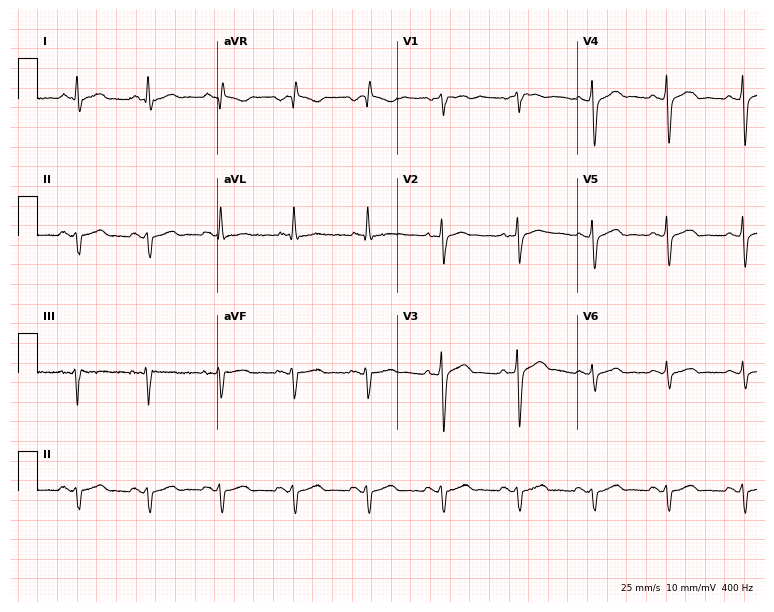
Resting 12-lead electrocardiogram. Patient: a man, 49 years old. None of these six findings is recorded: first-degree AV block, right bundle branch block, left bundle branch block, sinus bradycardia, atrial fibrillation, sinus tachycardia.